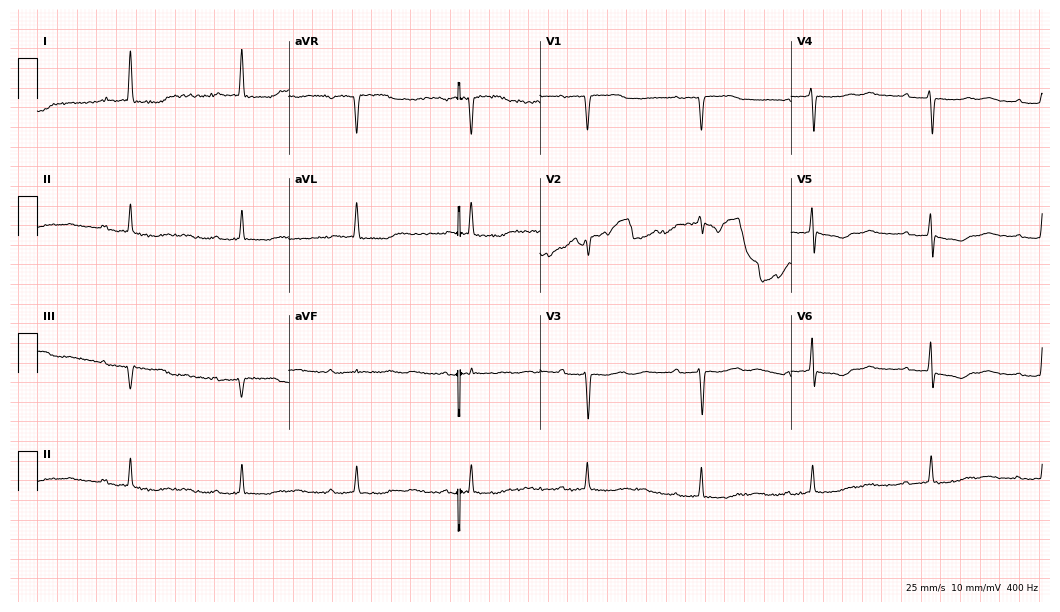
Standard 12-lead ECG recorded from a 65-year-old female patient. None of these six findings is recorded: first-degree AV block, right bundle branch block, left bundle branch block, sinus bradycardia, atrial fibrillation, sinus tachycardia. Other findings, if any, are not listed.